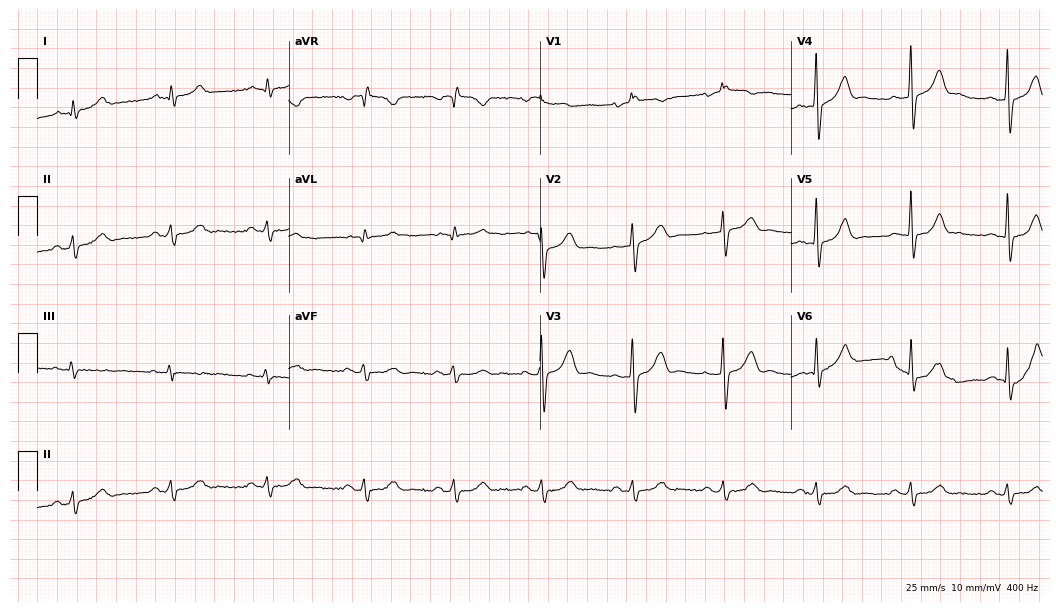
Electrocardiogram (10.2-second recording at 400 Hz), a 57-year-old male patient. Overall reading on record: normal ECG.